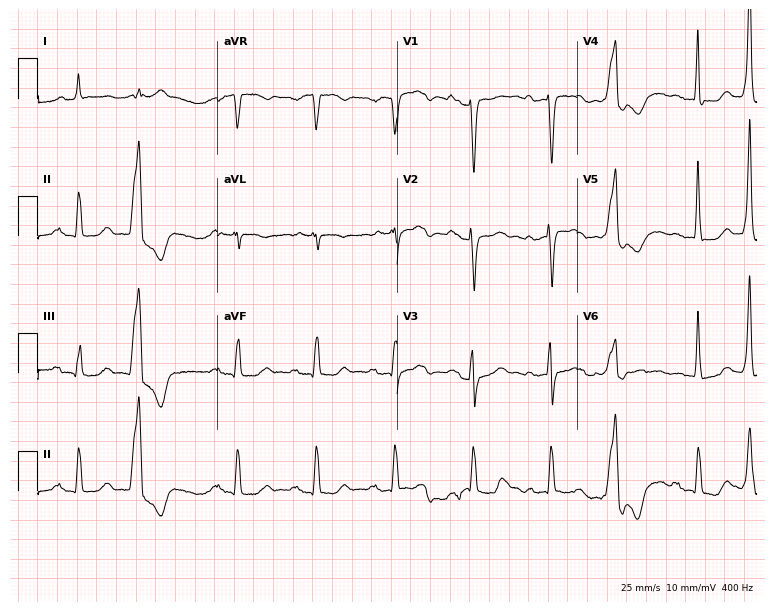
ECG — a man, 81 years old. Screened for six findings — first-degree AV block, right bundle branch block, left bundle branch block, sinus bradycardia, atrial fibrillation, sinus tachycardia — none is recorded.